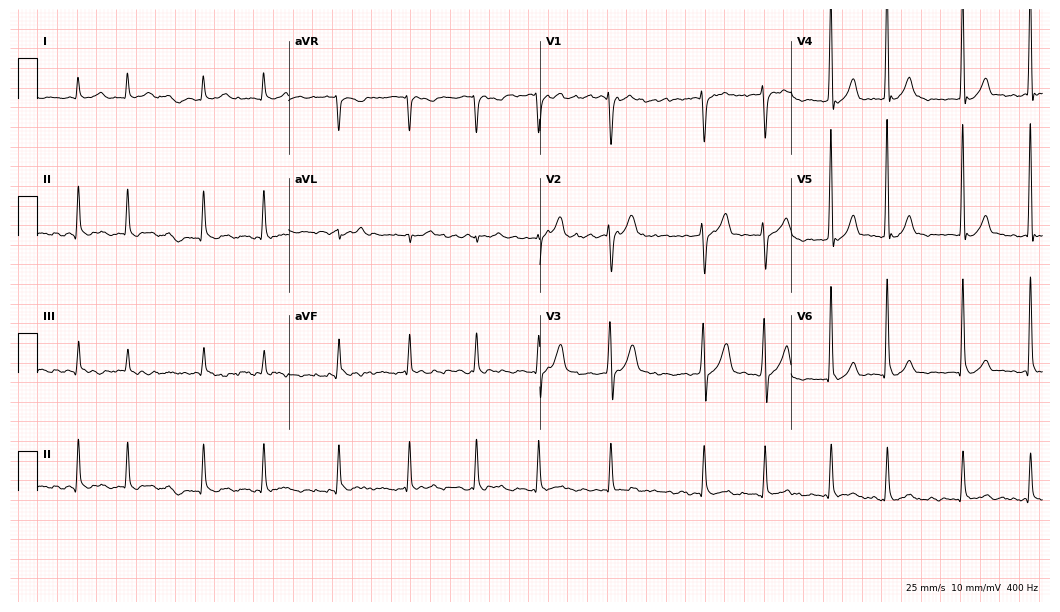
Resting 12-lead electrocardiogram (10.2-second recording at 400 Hz). Patient: a 56-year-old male. The tracing shows atrial fibrillation (AF).